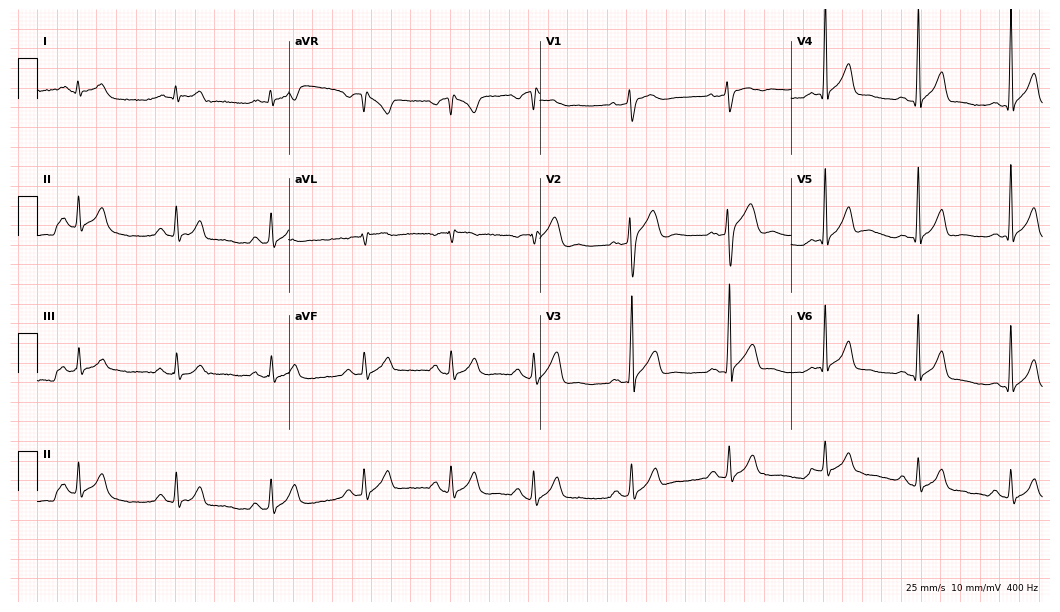
12-lead ECG (10.2-second recording at 400 Hz) from a 30-year-old male. Labelled as a normal ECG.